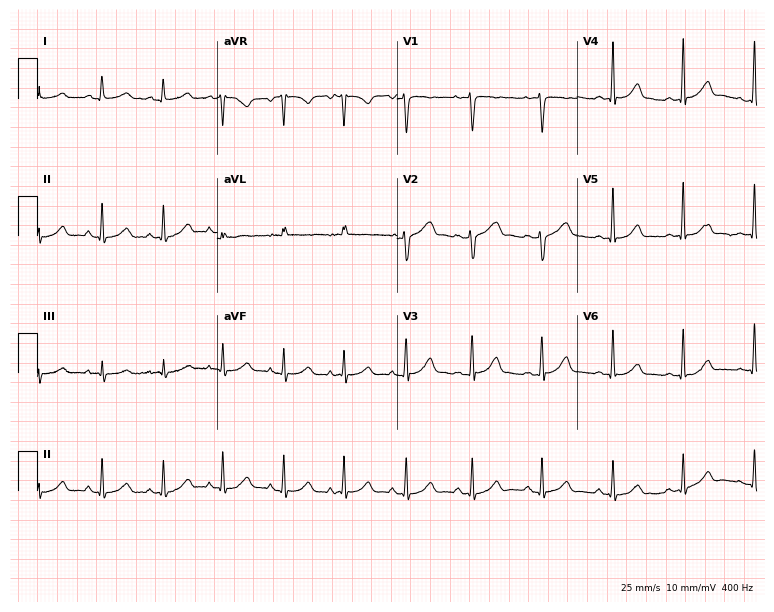
Electrocardiogram (7.3-second recording at 400 Hz), a 29-year-old woman. Overall reading on record: normal ECG.